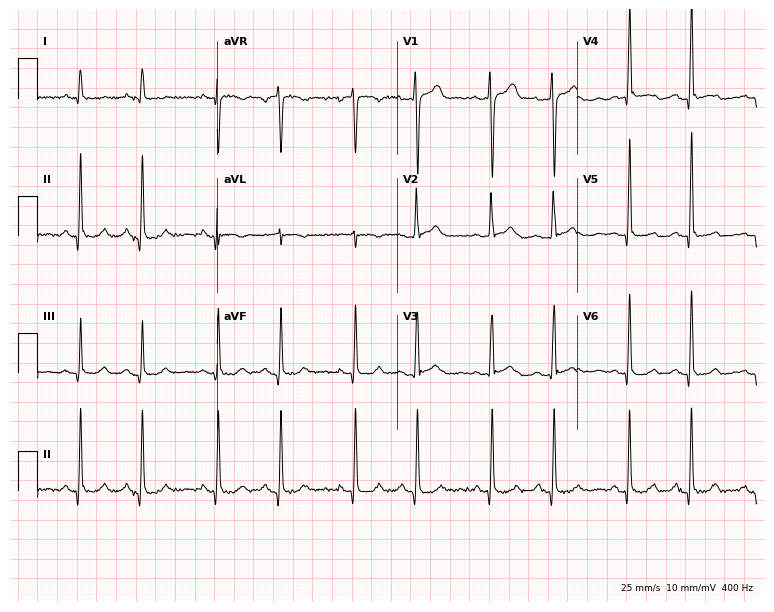
Resting 12-lead electrocardiogram (7.3-second recording at 400 Hz). Patient: a 55-year-old man. None of these six findings is recorded: first-degree AV block, right bundle branch block, left bundle branch block, sinus bradycardia, atrial fibrillation, sinus tachycardia.